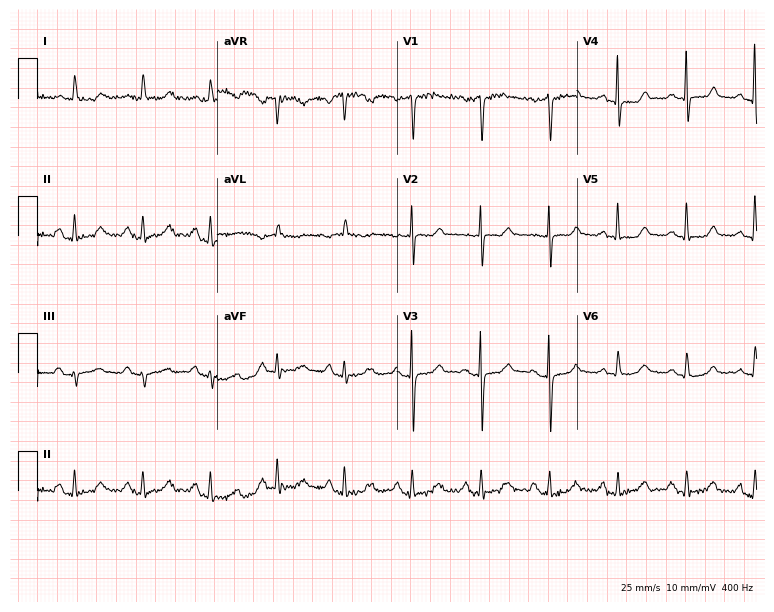
Resting 12-lead electrocardiogram. Patient: a 75-year-old female. Read as a normal ECG.